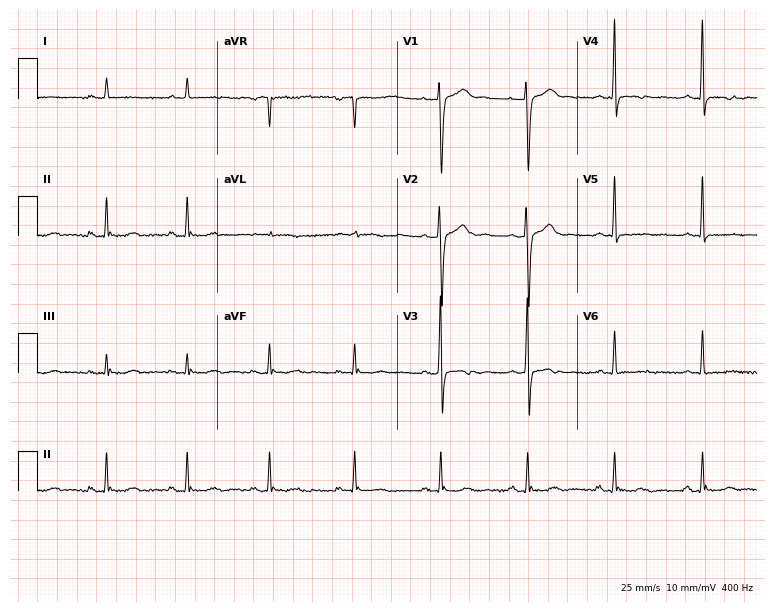
Resting 12-lead electrocardiogram. Patient: a 55-year-old female. None of these six findings is recorded: first-degree AV block, right bundle branch block (RBBB), left bundle branch block (LBBB), sinus bradycardia, atrial fibrillation (AF), sinus tachycardia. Only these six findings were labelled.